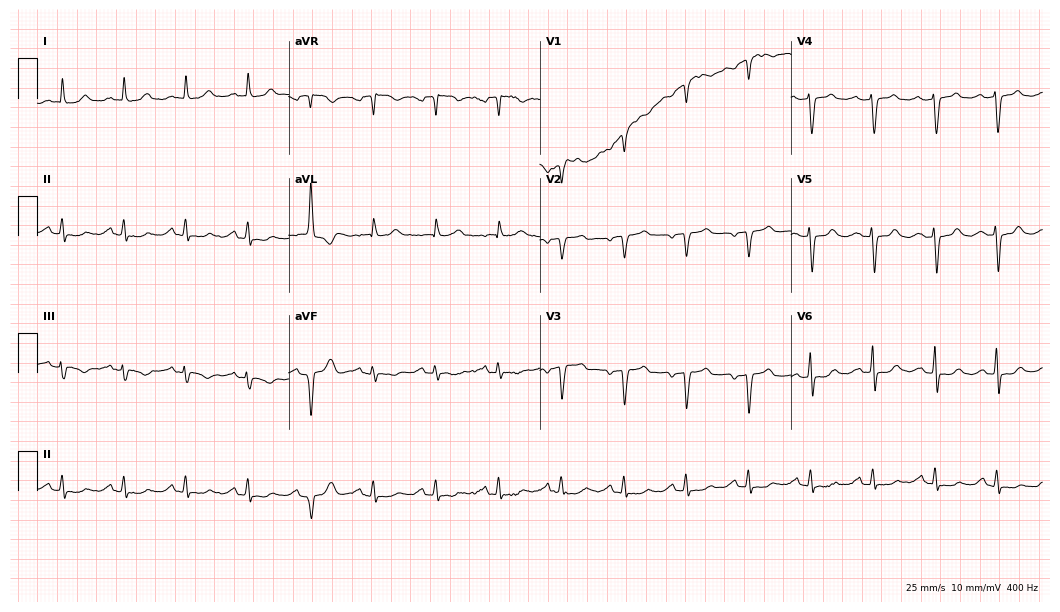
ECG — a woman, 84 years old. Labelled as a normal ECG.